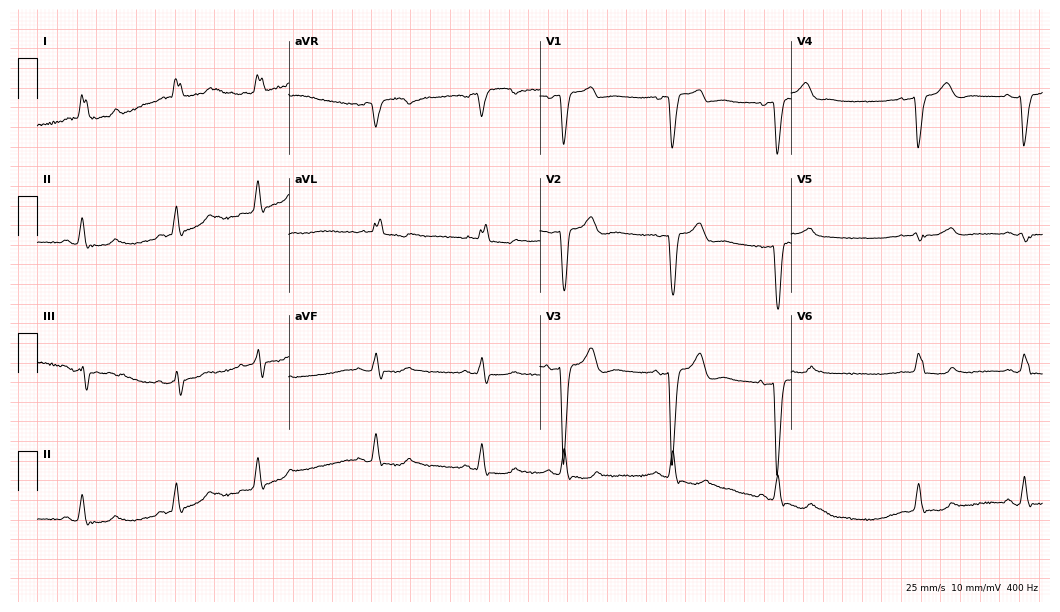
Resting 12-lead electrocardiogram. Patient: an 82-year-old woman. The tracing shows left bundle branch block.